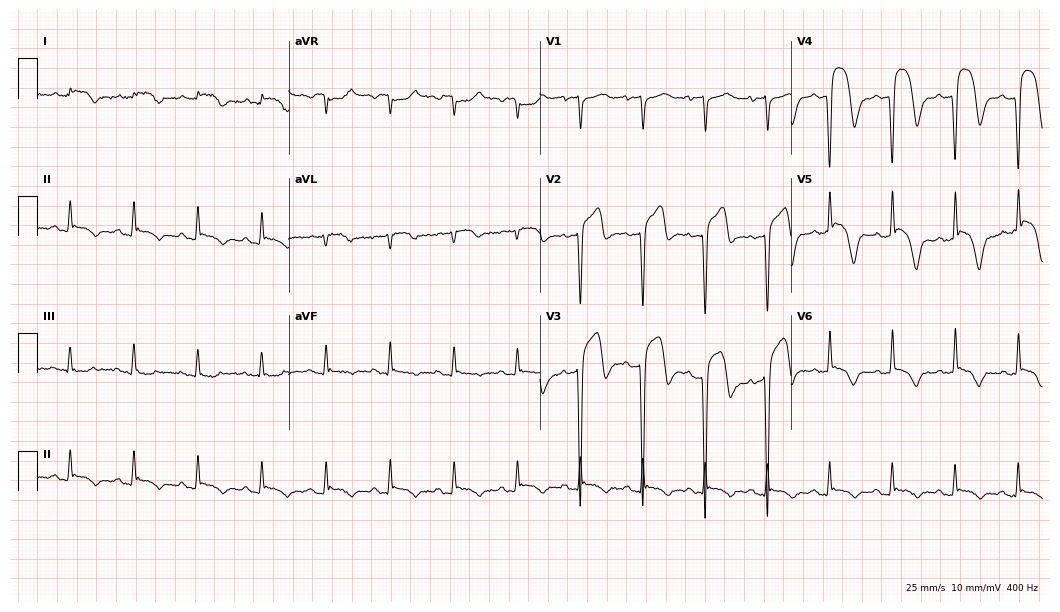
ECG — a man, 63 years old. Screened for six findings — first-degree AV block, right bundle branch block, left bundle branch block, sinus bradycardia, atrial fibrillation, sinus tachycardia — none is recorded. Findings outside these six are not listed.